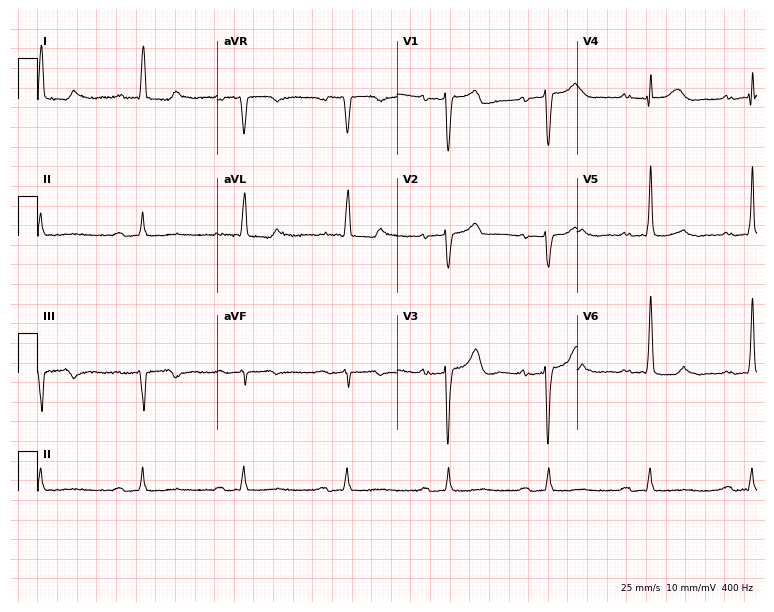
12-lead ECG (7.3-second recording at 400 Hz) from a male, 81 years old. Screened for six findings — first-degree AV block, right bundle branch block, left bundle branch block, sinus bradycardia, atrial fibrillation, sinus tachycardia — none is recorded.